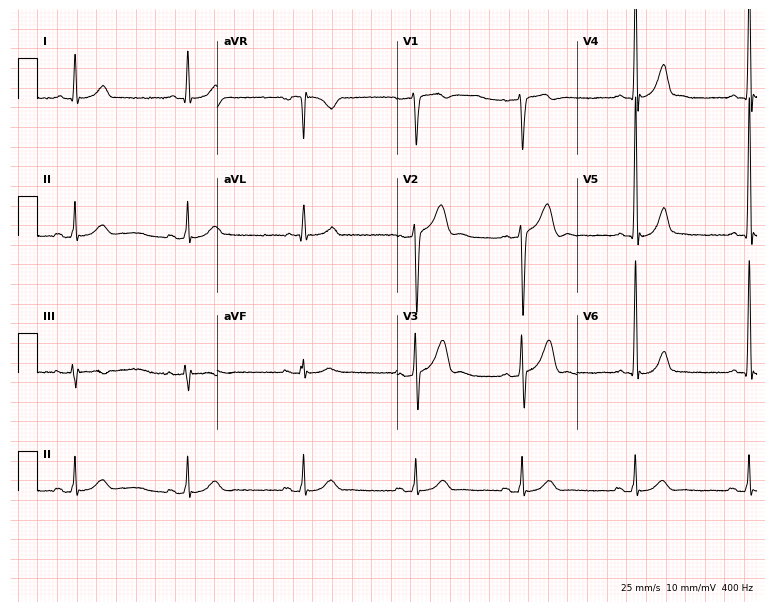
Resting 12-lead electrocardiogram. Patient: a female, 31 years old. None of these six findings is recorded: first-degree AV block, right bundle branch block, left bundle branch block, sinus bradycardia, atrial fibrillation, sinus tachycardia. Findings outside these six are not listed.